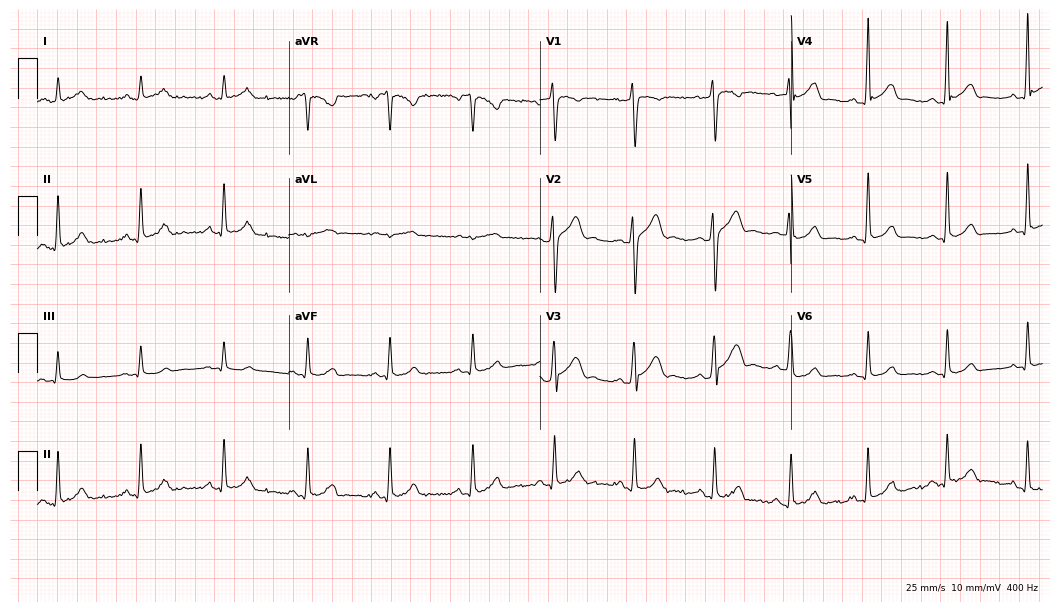
12-lead ECG from a man, 39 years old. Recorded interpretation: within normal limits.